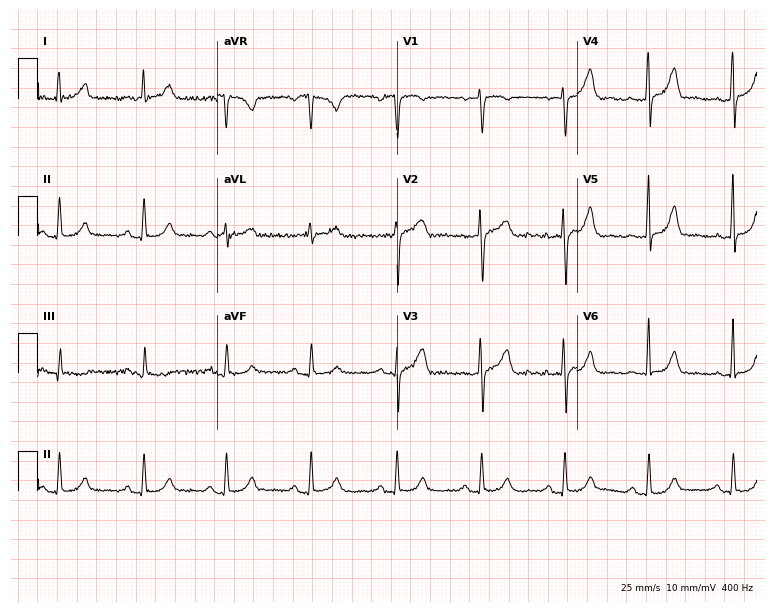
12-lead ECG from a 59-year-old female (7.3-second recording at 400 Hz). Recorded interpretation: within normal limits.